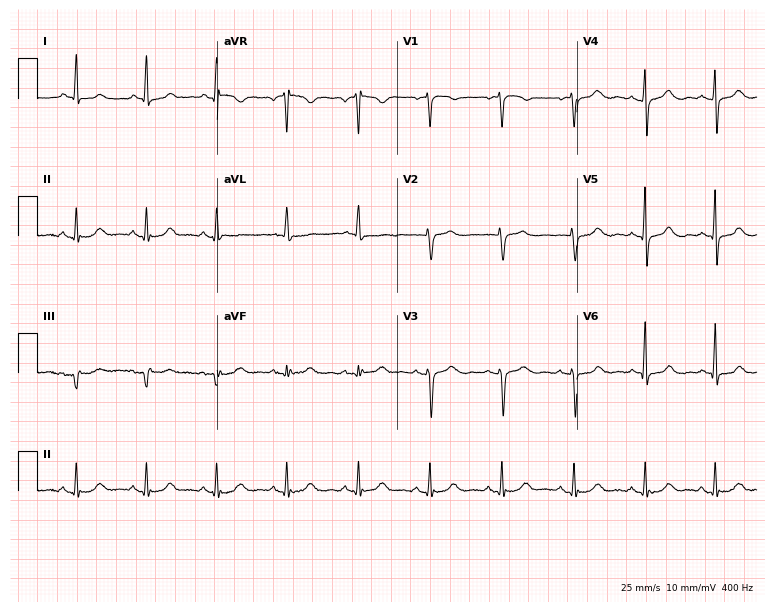
12-lead ECG from a 58-year-old woman. No first-degree AV block, right bundle branch block (RBBB), left bundle branch block (LBBB), sinus bradycardia, atrial fibrillation (AF) or sinus tachycardia recorded for this tracing.